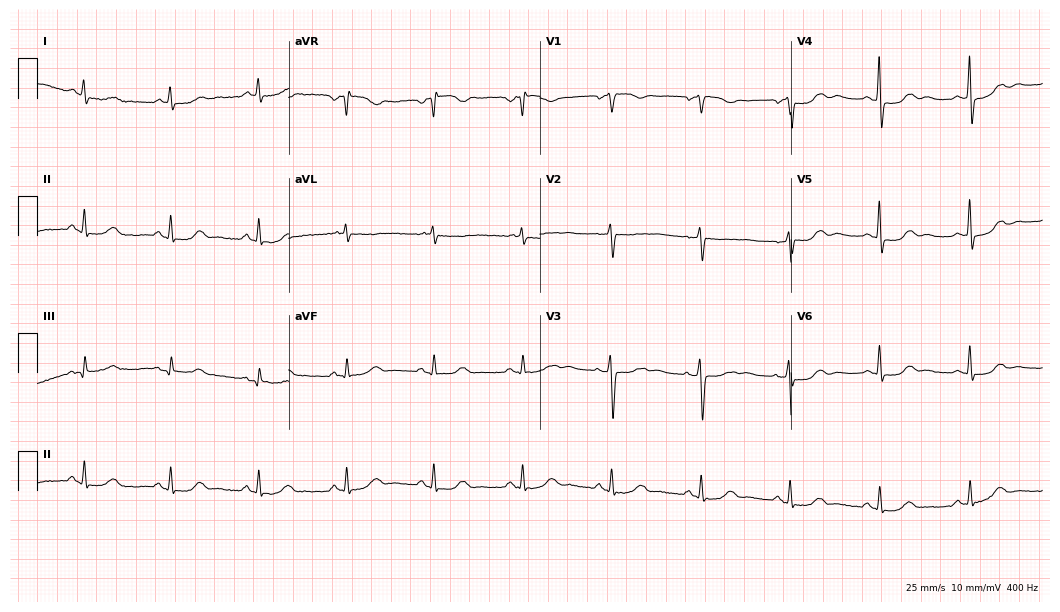
Standard 12-lead ECG recorded from a female patient, 60 years old (10.2-second recording at 400 Hz). None of these six findings is recorded: first-degree AV block, right bundle branch block (RBBB), left bundle branch block (LBBB), sinus bradycardia, atrial fibrillation (AF), sinus tachycardia.